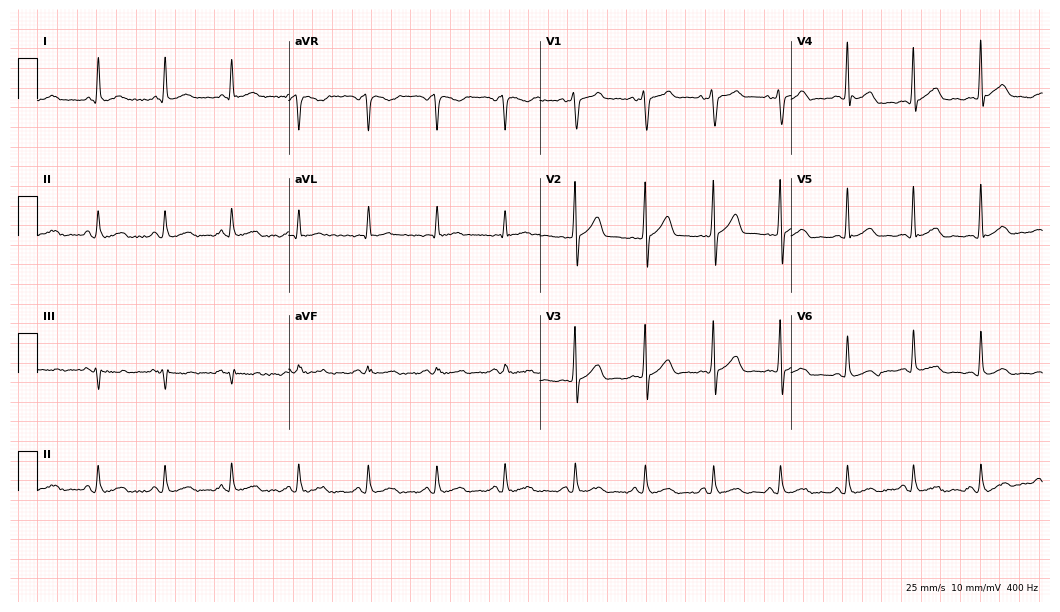
ECG — a 53-year-old man. Labelled as a normal ECG.